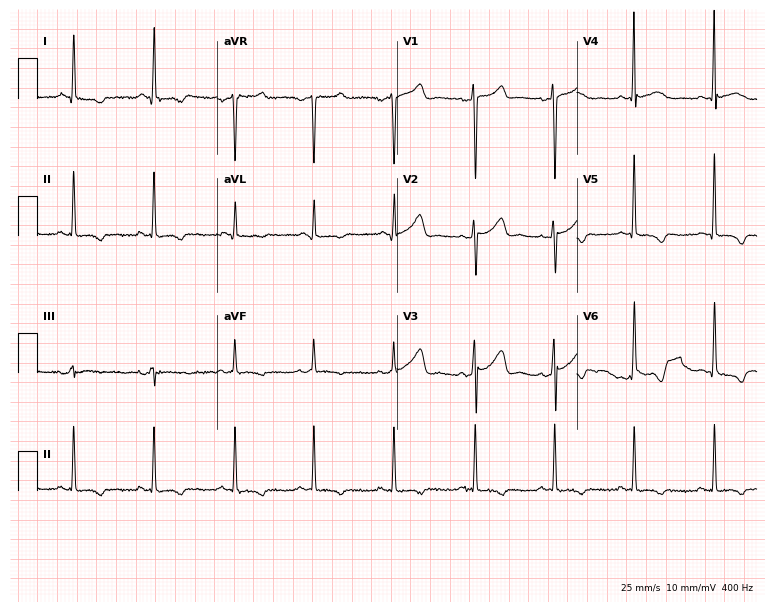
Standard 12-lead ECG recorded from a 43-year-old woman (7.3-second recording at 400 Hz). None of these six findings is recorded: first-degree AV block, right bundle branch block, left bundle branch block, sinus bradycardia, atrial fibrillation, sinus tachycardia.